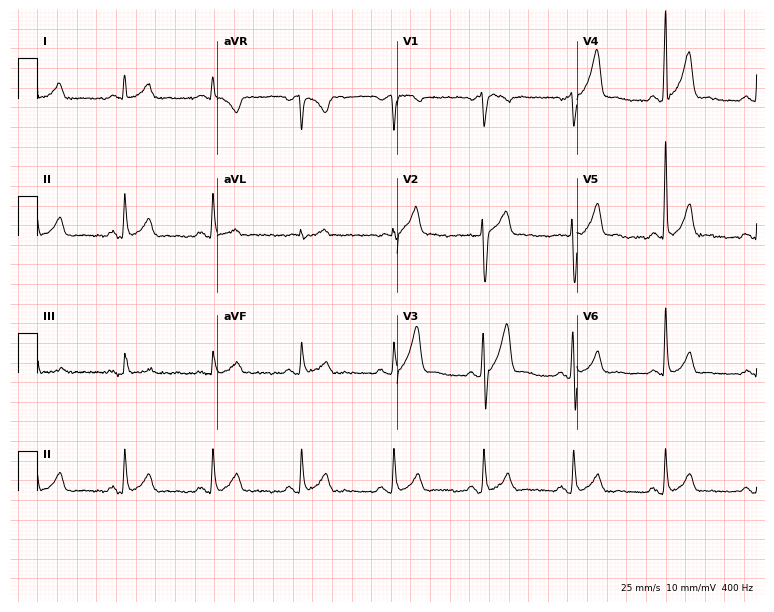
12-lead ECG (7.3-second recording at 400 Hz) from a male patient, 57 years old. Labelled as a normal ECG.